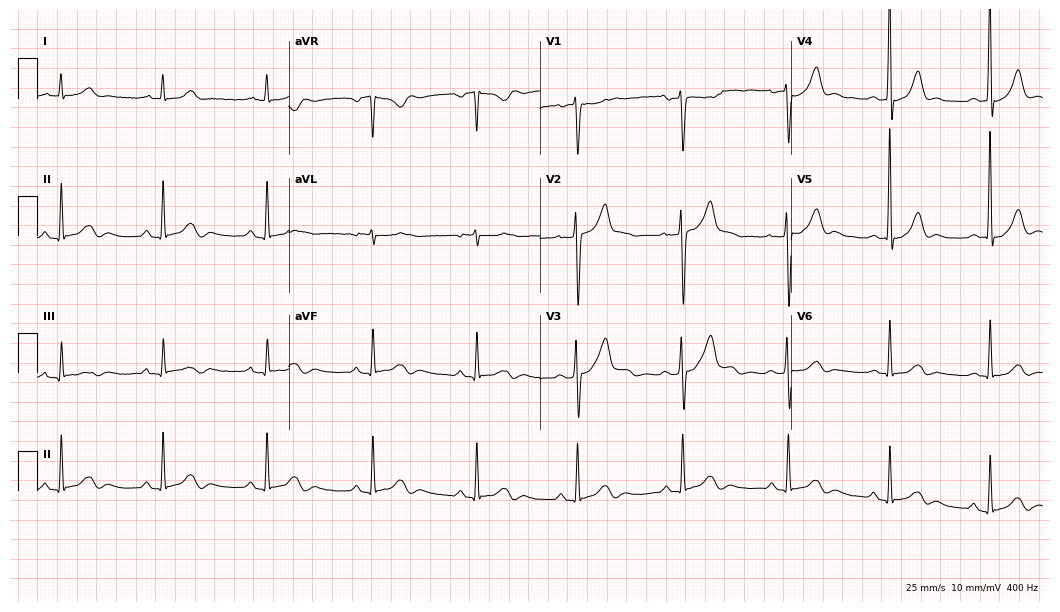
Resting 12-lead electrocardiogram. Patient: a male, 42 years old. Read as a normal ECG.